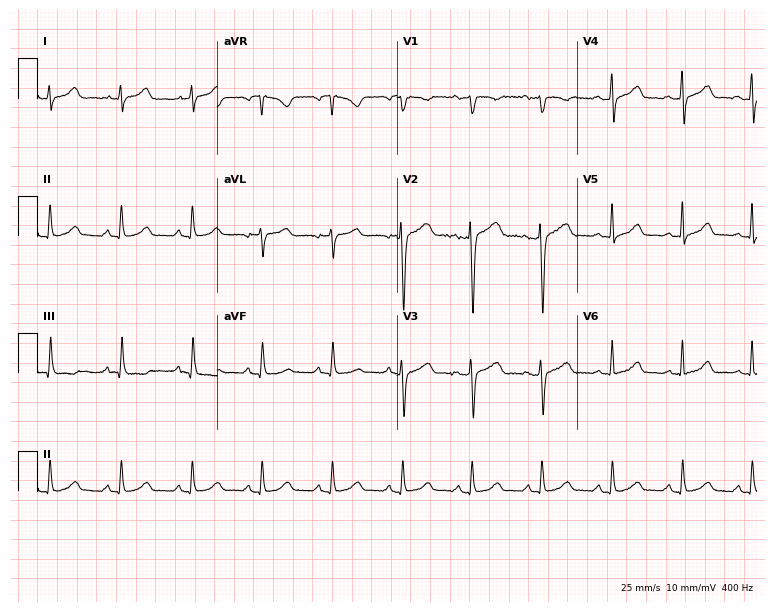
Electrocardiogram, a woman, 40 years old. Overall reading on record: normal ECG.